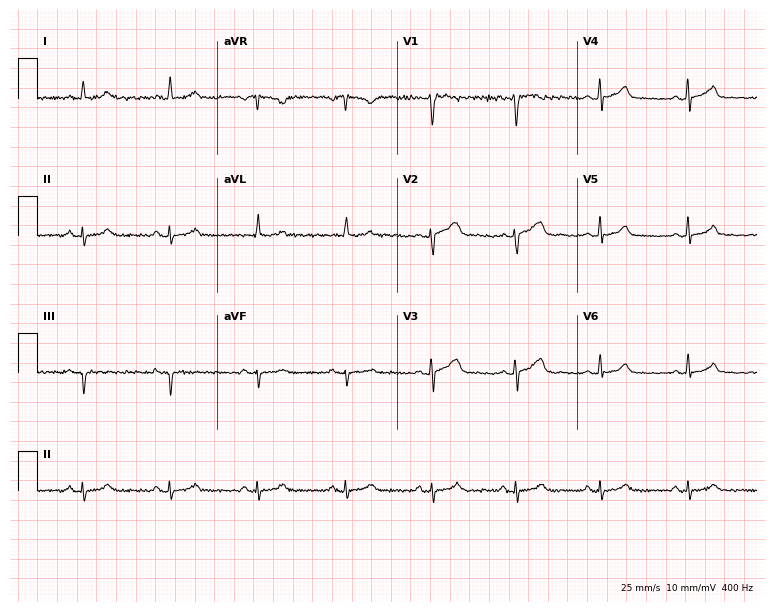
Standard 12-lead ECG recorded from a 34-year-old female (7.3-second recording at 400 Hz). None of these six findings is recorded: first-degree AV block, right bundle branch block, left bundle branch block, sinus bradycardia, atrial fibrillation, sinus tachycardia.